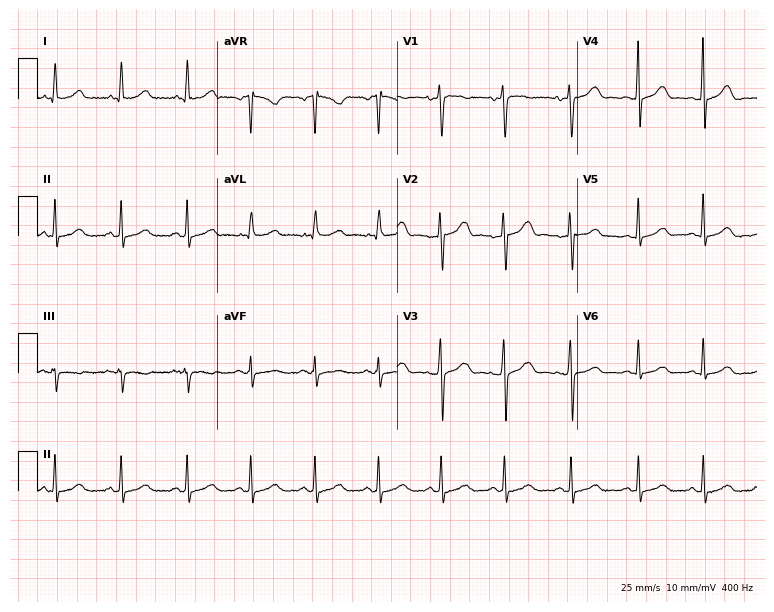
ECG — a 40-year-old woman. Screened for six findings — first-degree AV block, right bundle branch block, left bundle branch block, sinus bradycardia, atrial fibrillation, sinus tachycardia — none is recorded. Findings outside these six are not listed.